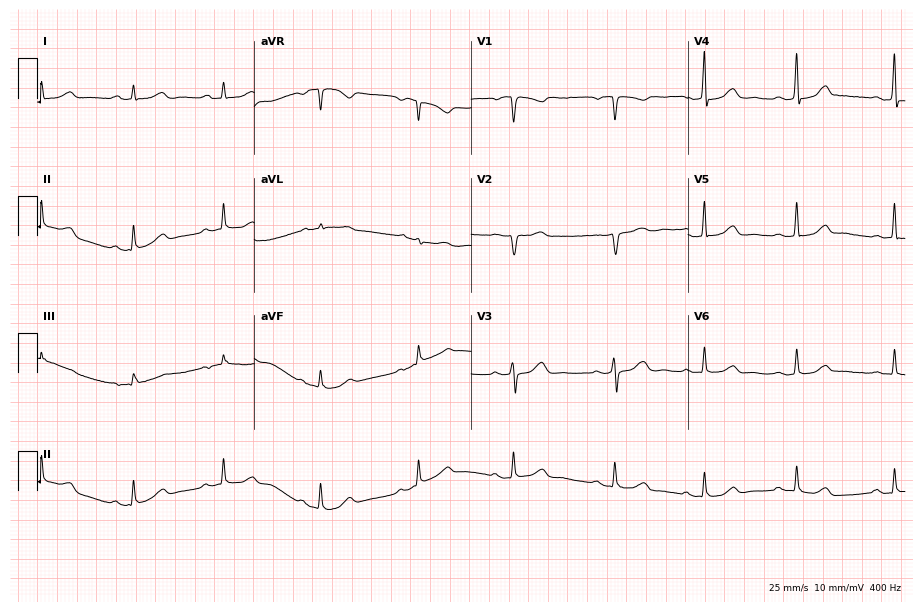
ECG (8.8-second recording at 400 Hz) — a 50-year-old female. Screened for six findings — first-degree AV block, right bundle branch block, left bundle branch block, sinus bradycardia, atrial fibrillation, sinus tachycardia — none is recorded.